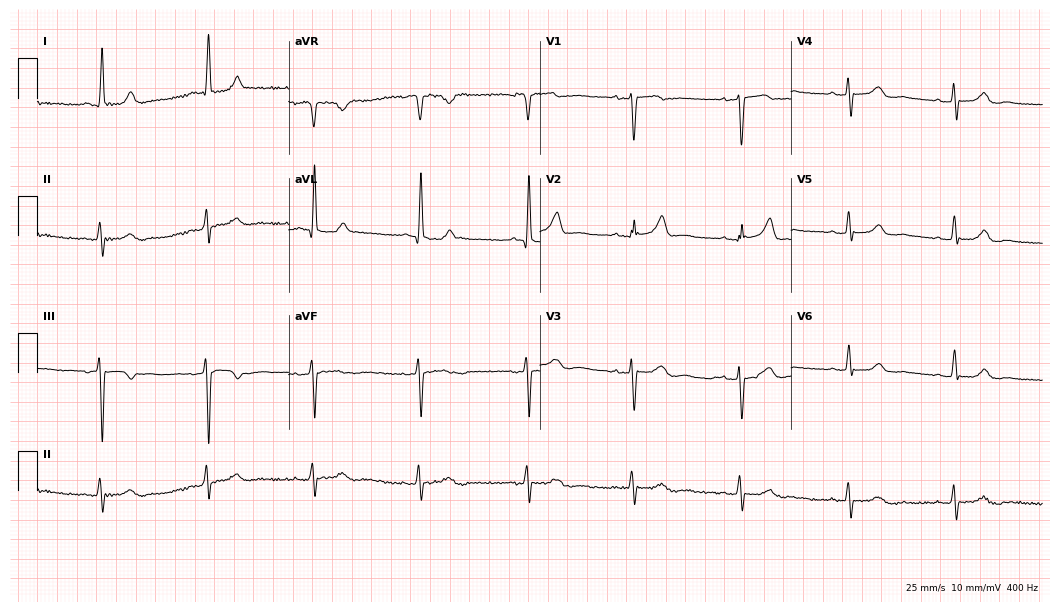
Resting 12-lead electrocardiogram. Patient: a 72-year-old female. Read as a normal ECG.